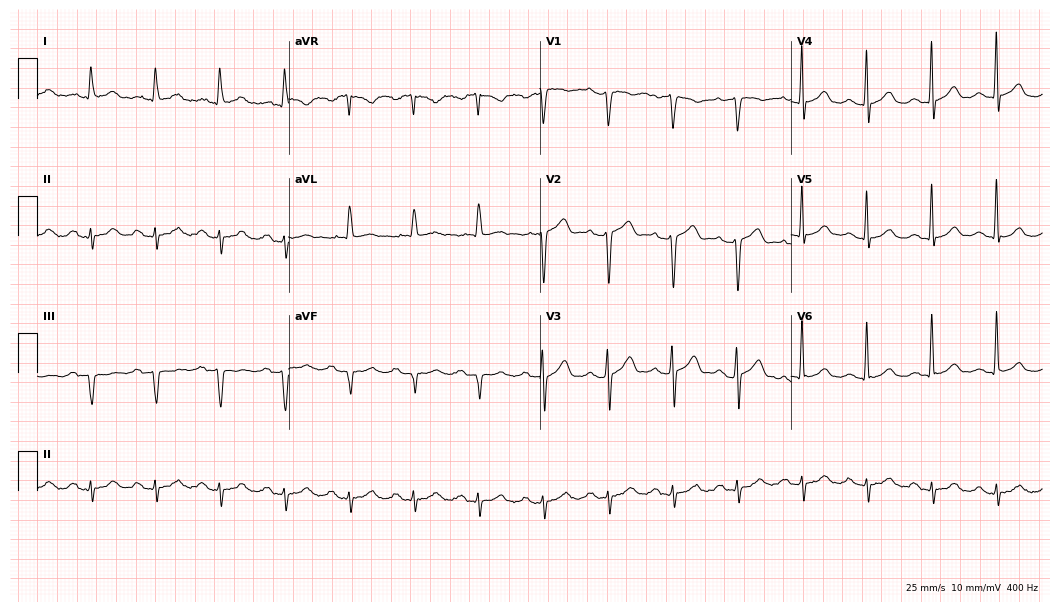
Standard 12-lead ECG recorded from a male patient, 80 years old. The tracing shows first-degree AV block.